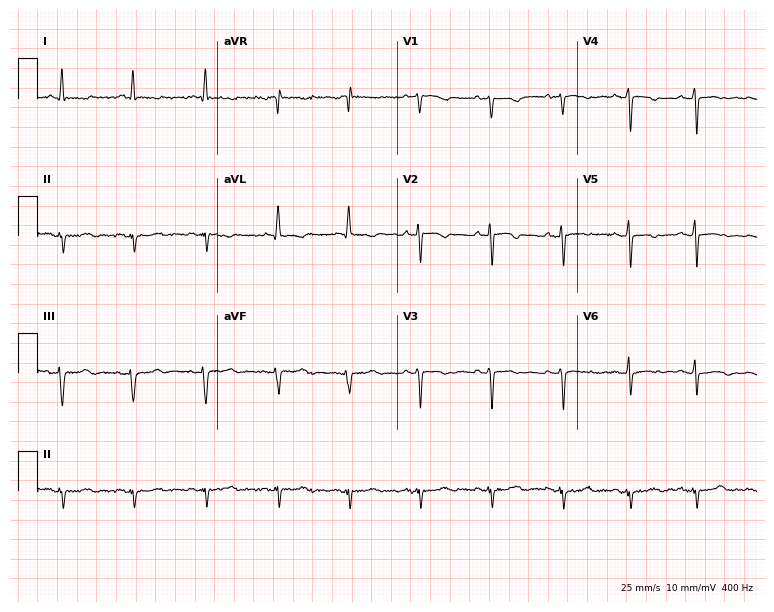
12-lead ECG from a 68-year-old female. No first-degree AV block, right bundle branch block, left bundle branch block, sinus bradycardia, atrial fibrillation or sinus tachycardia recorded for this tracing. Other findings, if any, are not listed.